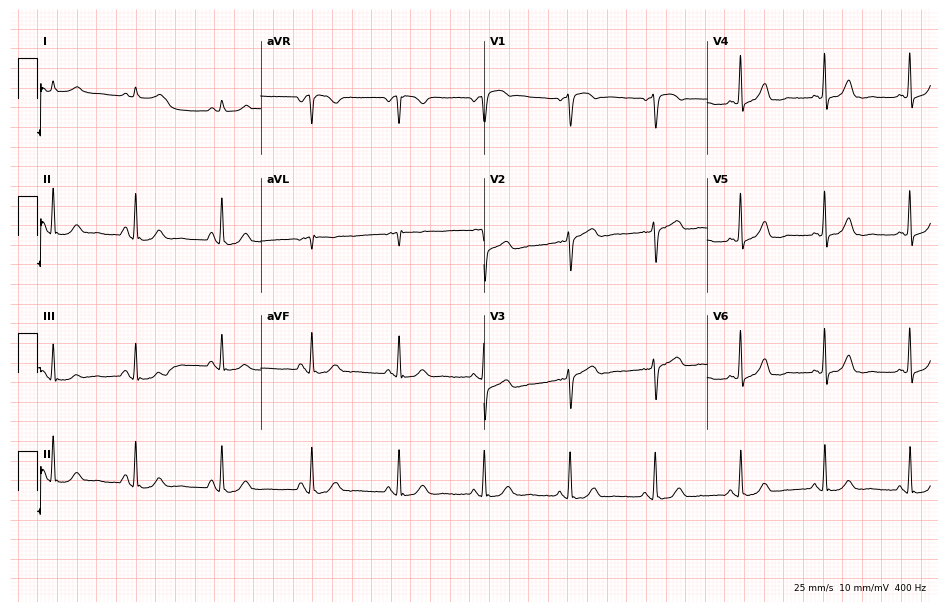
Standard 12-lead ECG recorded from a male, 55 years old (9.1-second recording at 400 Hz). Read as a normal ECG.